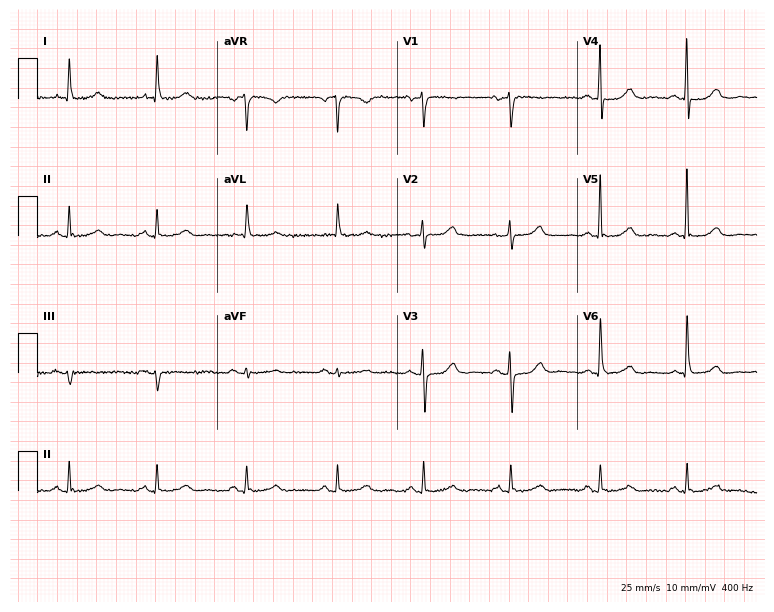
Standard 12-lead ECG recorded from a female, 76 years old. Read as a normal ECG.